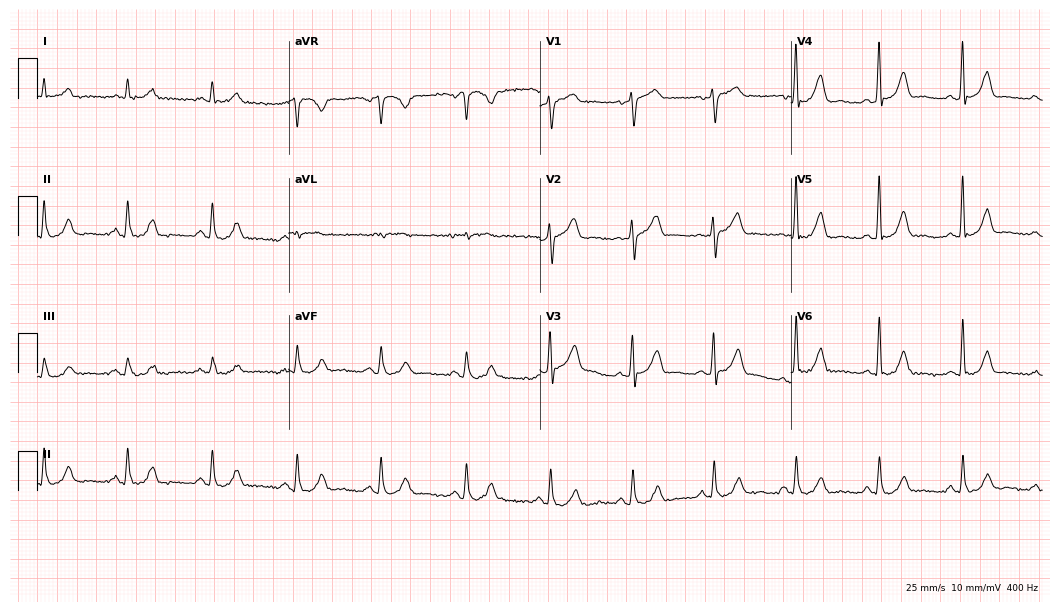
Standard 12-lead ECG recorded from a male patient, 68 years old. Read as a normal ECG.